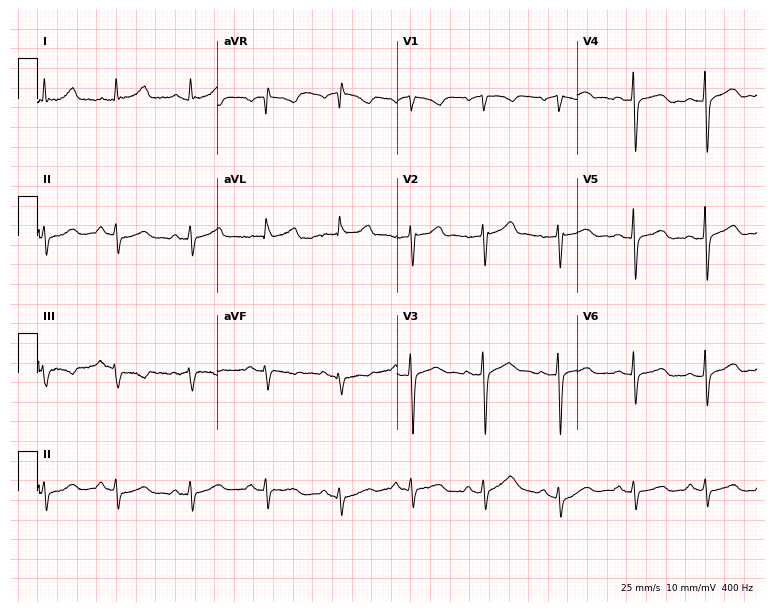
Standard 12-lead ECG recorded from a 37-year-old woman (7.3-second recording at 400 Hz). None of these six findings is recorded: first-degree AV block, right bundle branch block (RBBB), left bundle branch block (LBBB), sinus bradycardia, atrial fibrillation (AF), sinus tachycardia.